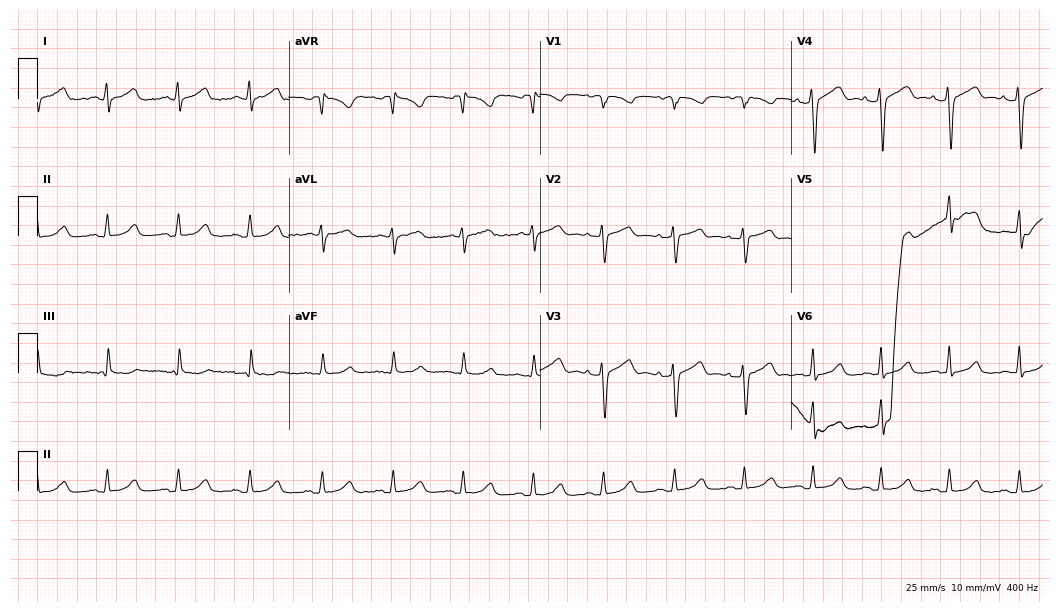
ECG (10.2-second recording at 400 Hz) — a female patient, 25 years old. Labelled as a normal ECG.